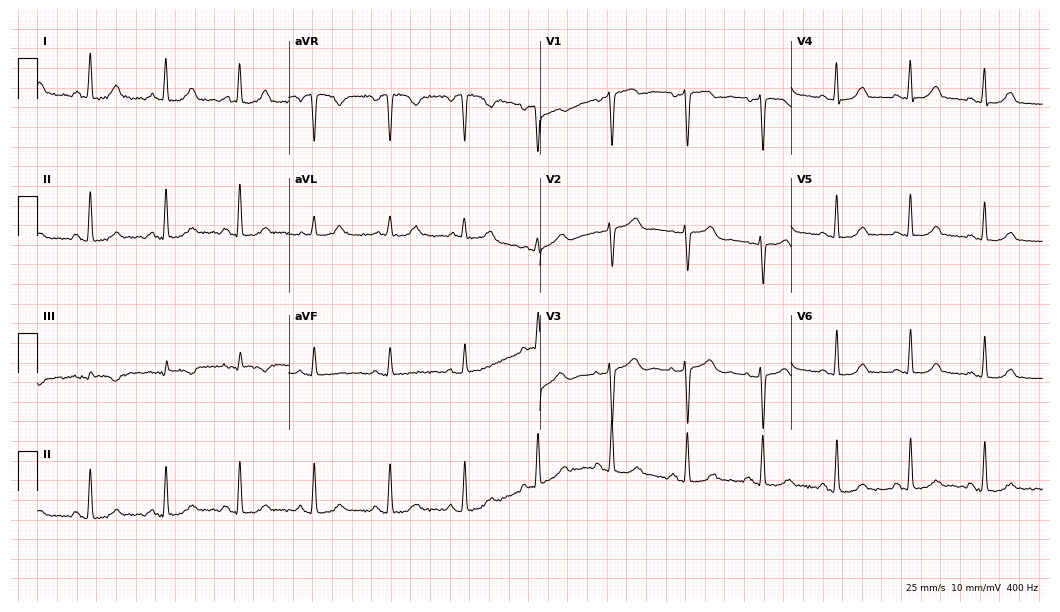
12-lead ECG from a 58-year-old female (10.2-second recording at 400 Hz). No first-degree AV block, right bundle branch block, left bundle branch block, sinus bradycardia, atrial fibrillation or sinus tachycardia recorded for this tracing. Only these six findings were labelled.